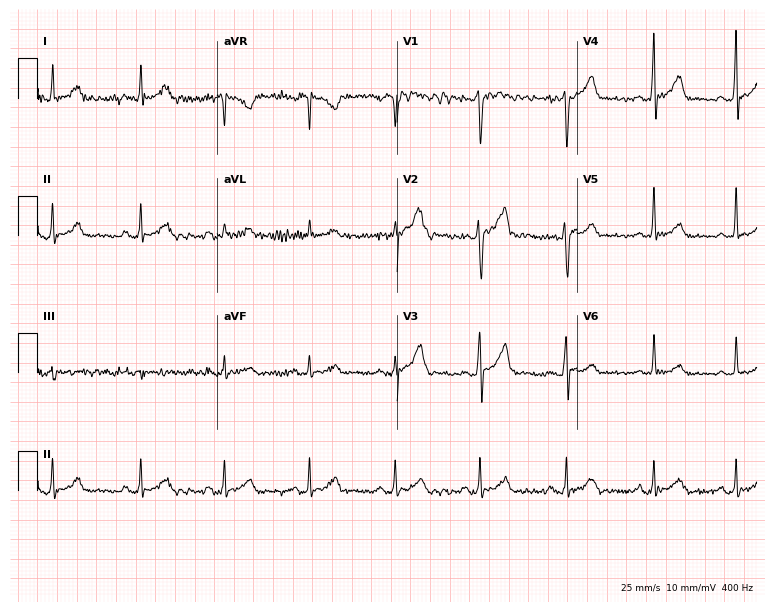
12-lead ECG from a man, 32 years old. Recorded interpretation: within normal limits.